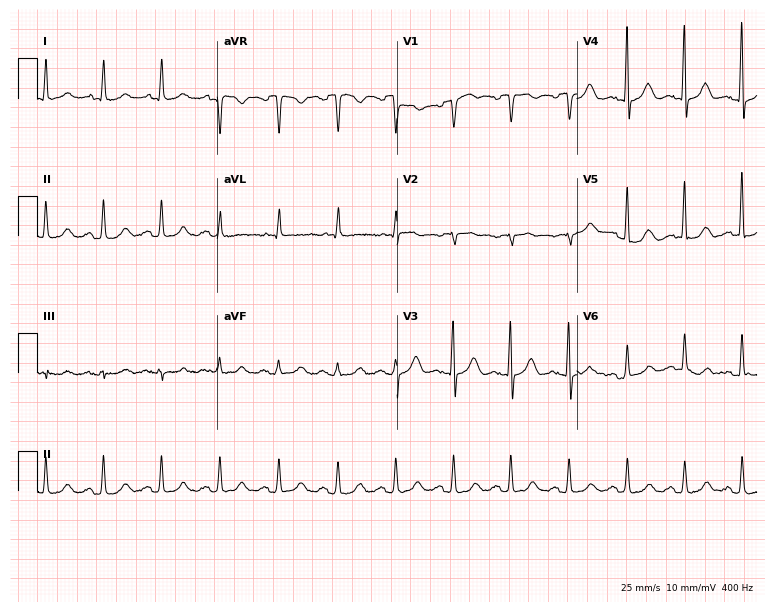
ECG (7.3-second recording at 400 Hz) — a female patient, 61 years old. Findings include sinus tachycardia (a sinus rate of 100 beats per minute or more).